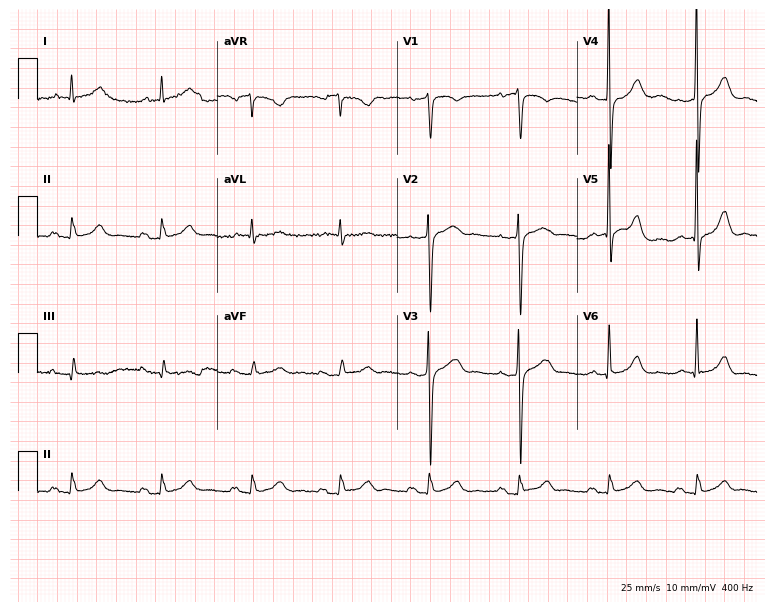
ECG — a man, 81 years old. Labelled as a normal ECG.